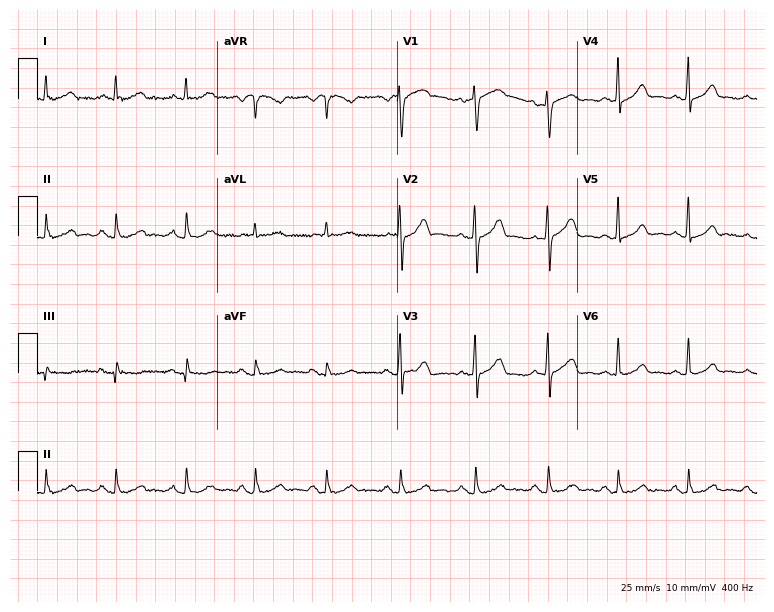
Standard 12-lead ECG recorded from a 45-year-old man. None of these six findings is recorded: first-degree AV block, right bundle branch block (RBBB), left bundle branch block (LBBB), sinus bradycardia, atrial fibrillation (AF), sinus tachycardia. Findings outside these six are not listed.